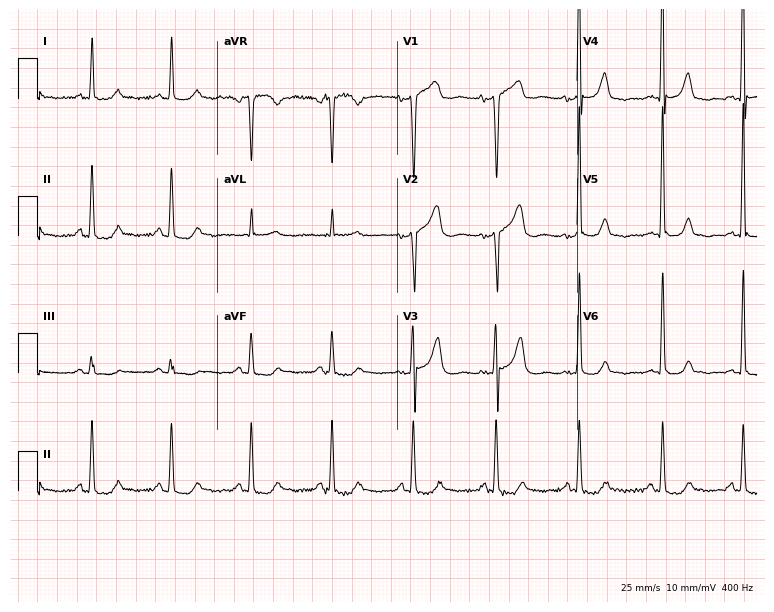
ECG — a 57-year-old woman. Screened for six findings — first-degree AV block, right bundle branch block, left bundle branch block, sinus bradycardia, atrial fibrillation, sinus tachycardia — none is recorded. Findings outside these six are not listed.